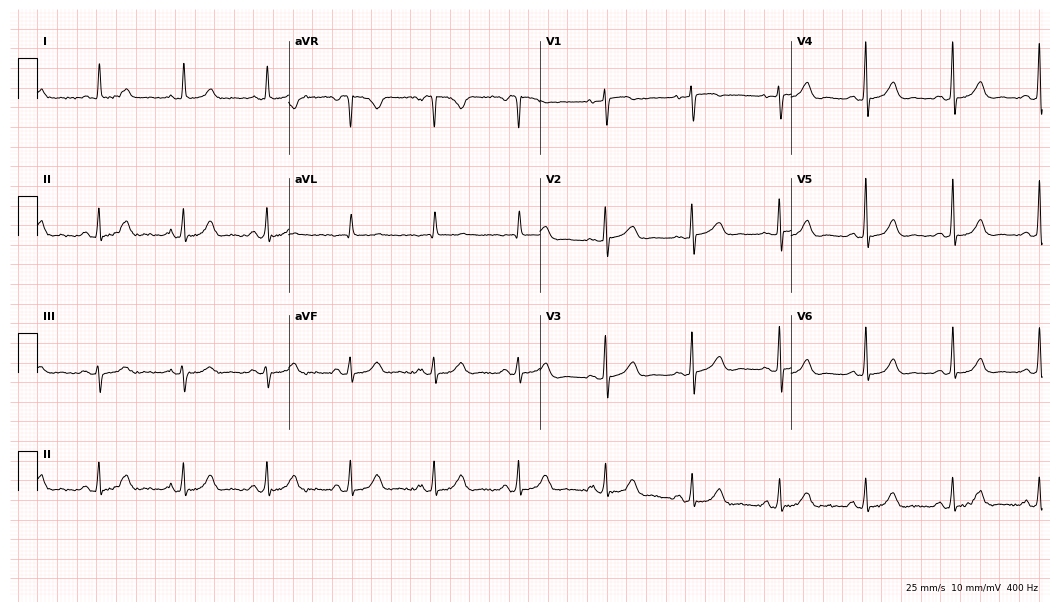
12-lead ECG from a female, 76 years old. Labelled as a normal ECG.